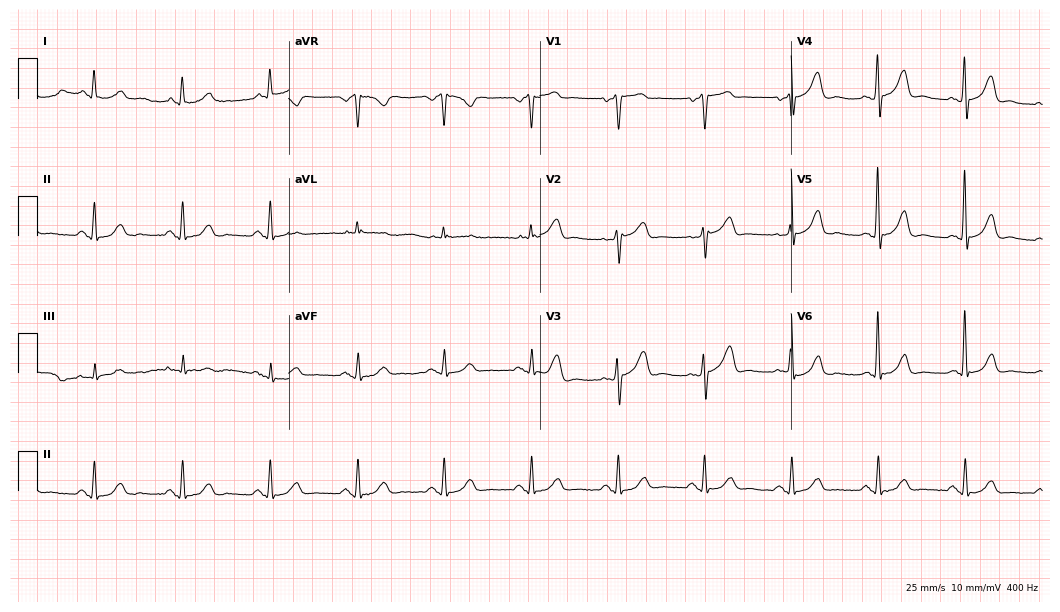
Electrocardiogram, a 74-year-old male patient. Overall reading on record: normal ECG.